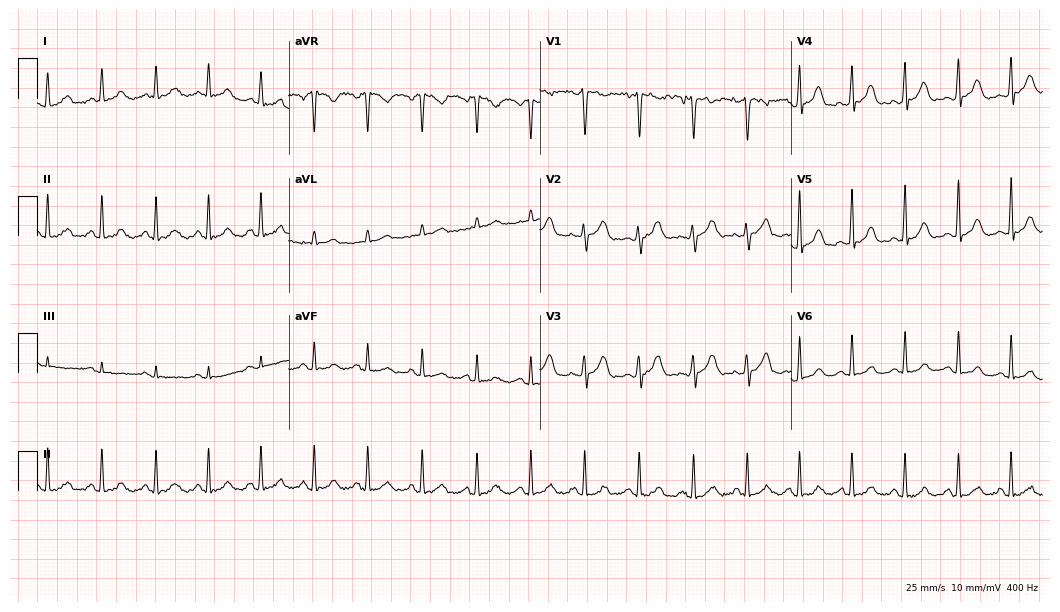
Standard 12-lead ECG recorded from a 28-year-old male. The tracing shows sinus tachycardia (a sinus rate of 100 beats per minute or more).